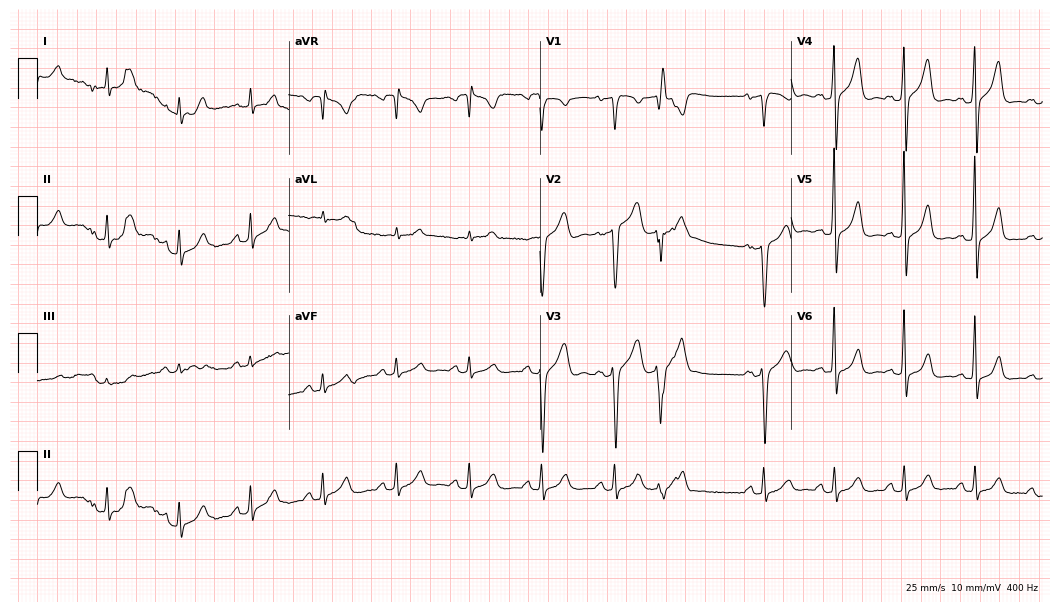
ECG — a 63-year-old male patient. Screened for six findings — first-degree AV block, right bundle branch block, left bundle branch block, sinus bradycardia, atrial fibrillation, sinus tachycardia — none is recorded.